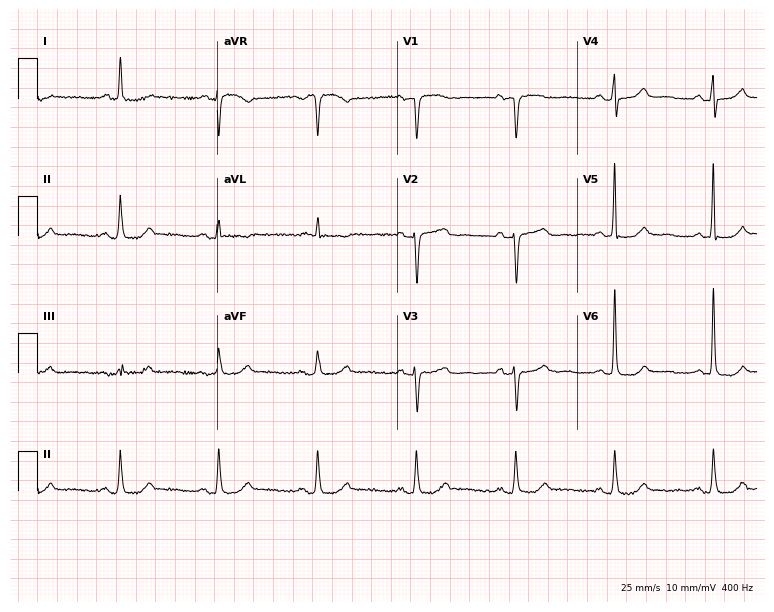
Standard 12-lead ECG recorded from a female, 79 years old. Read as a normal ECG.